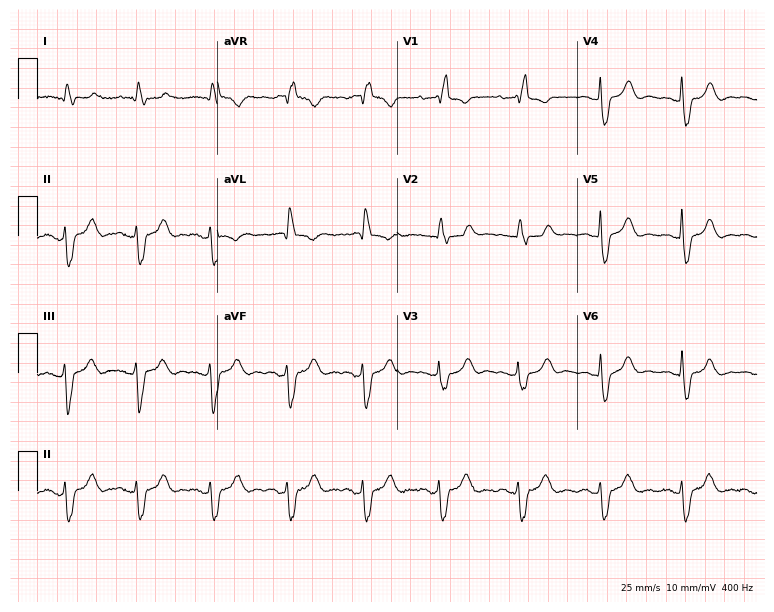
12-lead ECG (7.3-second recording at 400 Hz) from a 72-year-old female patient. Findings include right bundle branch block.